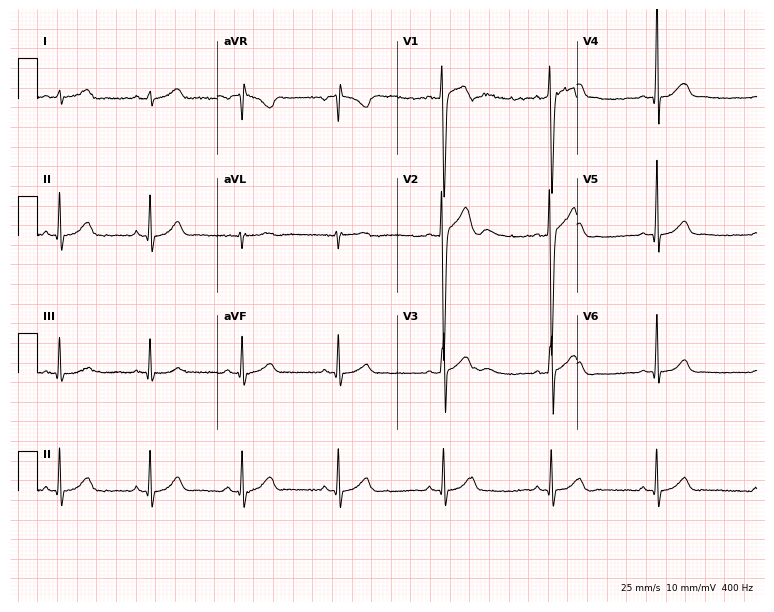
Electrocardiogram, a 20-year-old man. Overall reading on record: normal ECG.